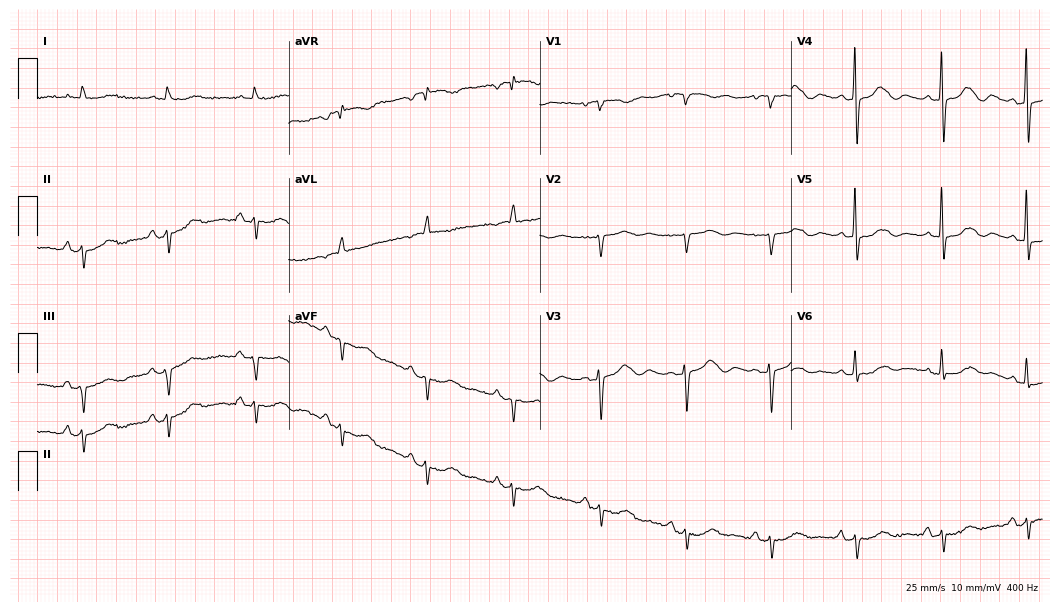
Resting 12-lead electrocardiogram. Patient: a woman, 78 years old. None of these six findings is recorded: first-degree AV block, right bundle branch block, left bundle branch block, sinus bradycardia, atrial fibrillation, sinus tachycardia. Other findings, if any, are not listed.